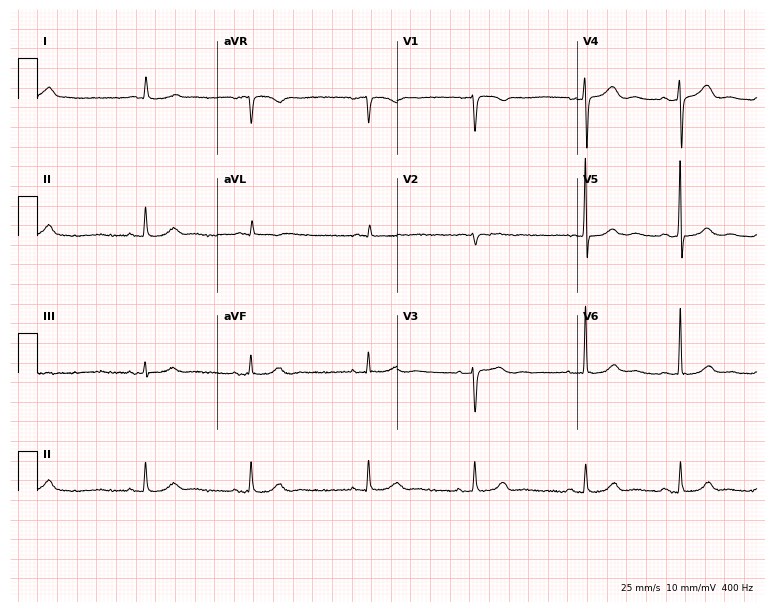
Electrocardiogram, a woman, 72 years old. Overall reading on record: normal ECG.